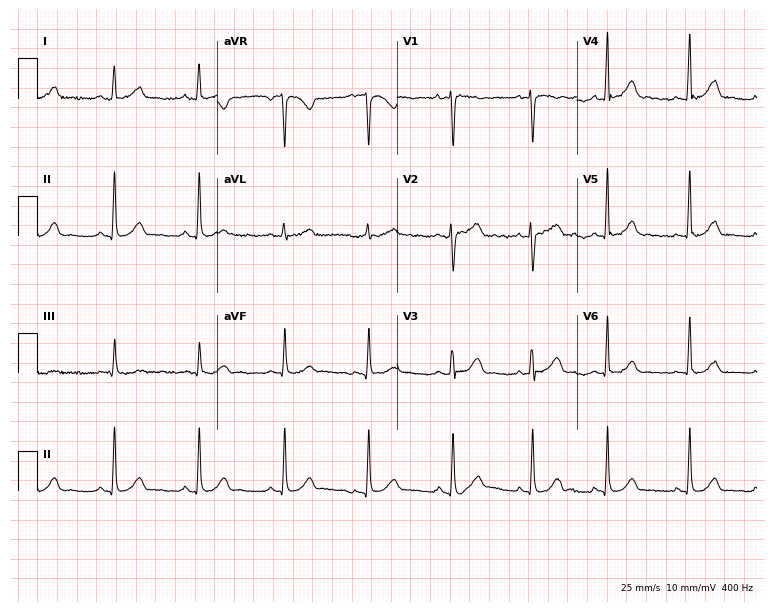
Standard 12-lead ECG recorded from a woman, 40 years old (7.3-second recording at 400 Hz). Read as a normal ECG.